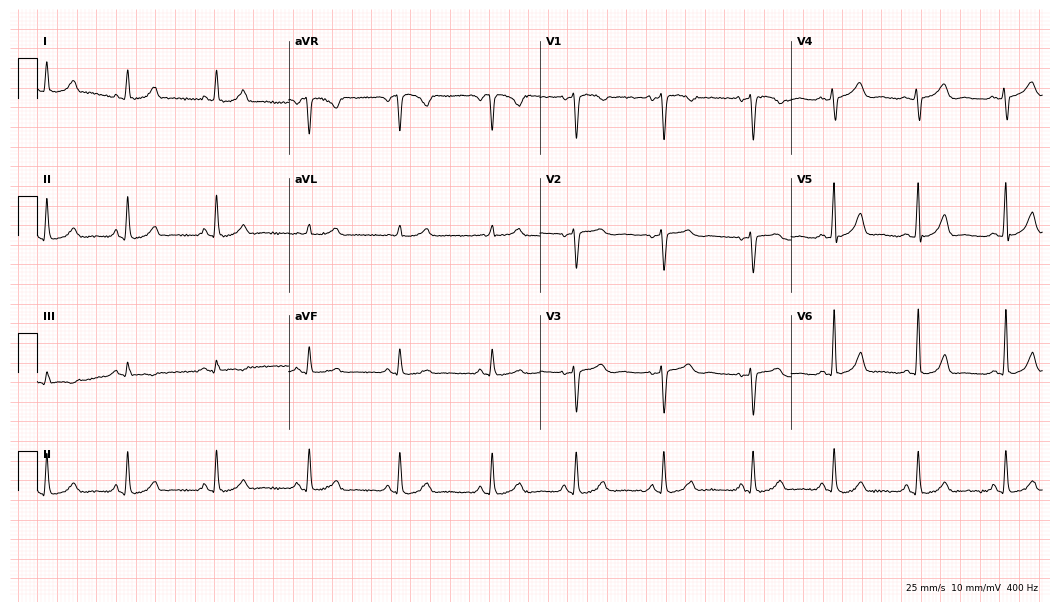
12-lead ECG from a woman, 40 years old. Recorded interpretation: within normal limits.